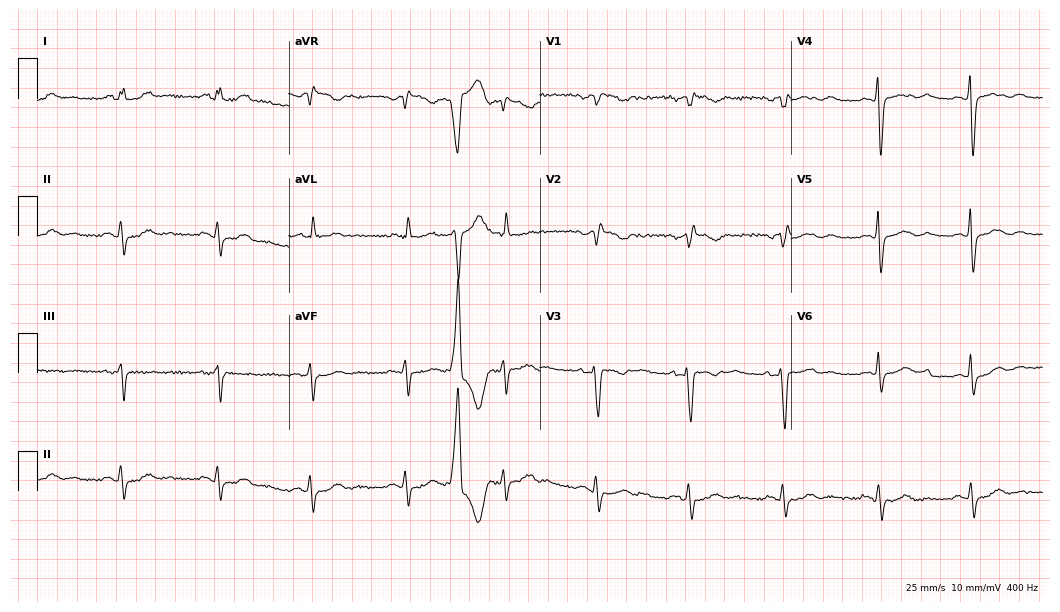
12-lead ECG from a 50-year-old female (10.2-second recording at 400 Hz). No first-degree AV block, right bundle branch block, left bundle branch block, sinus bradycardia, atrial fibrillation or sinus tachycardia recorded for this tracing. Other findings, if any, are not listed.